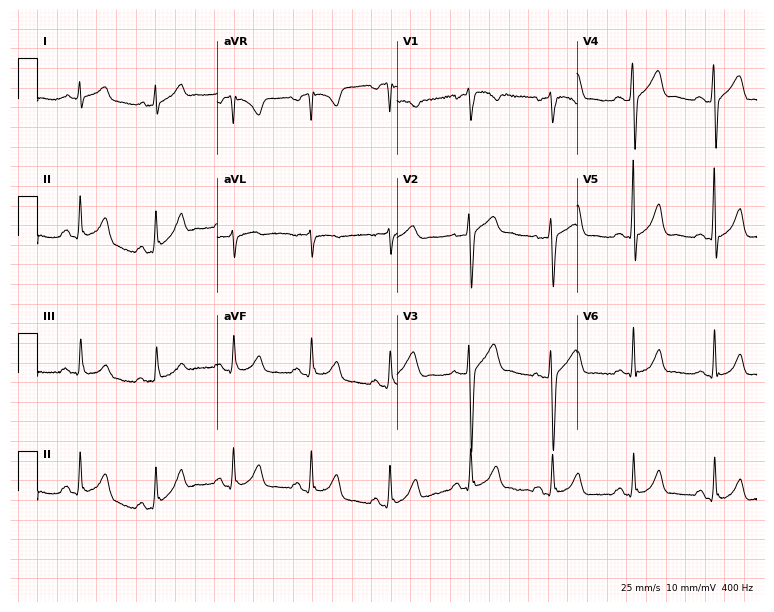
Resting 12-lead electrocardiogram. Patient: a male, 46 years old. Read as a normal ECG.